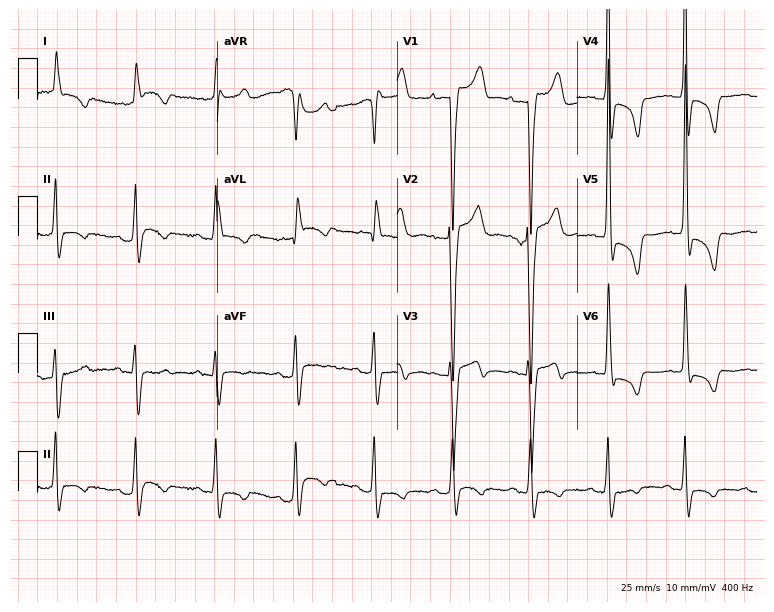
Electrocardiogram, a man, 82 years old. Of the six screened findings (first-degree AV block, right bundle branch block (RBBB), left bundle branch block (LBBB), sinus bradycardia, atrial fibrillation (AF), sinus tachycardia), none is recorded.